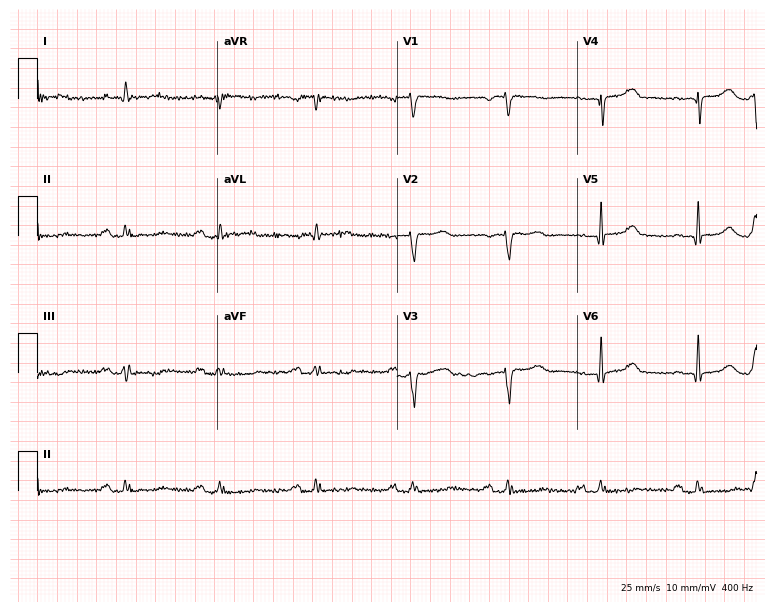
Resting 12-lead electrocardiogram. Patient: a female, 66 years old. None of these six findings is recorded: first-degree AV block, right bundle branch block, left bundle branch block, sinus bradycardia, atrial fibrillation, sinus tachycardia. Other findings, if any, are not listed.